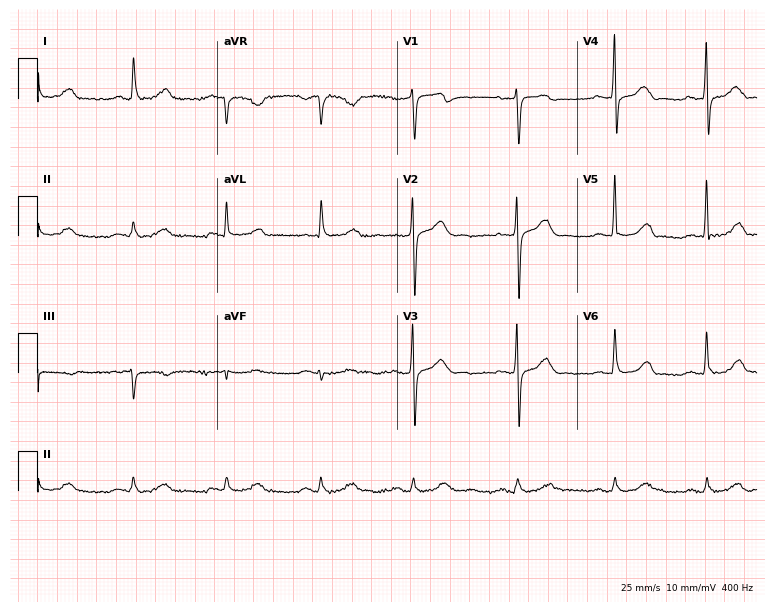
Resting 12-lead electrocardiogram. Patient: a 78-year-old male. None of these six findings is recorded: first-degree AV block, right bundle branch block, left bundle branch block, sinus bradycardia, atrial fibrillation, sinus tachycardia. Findings outside these six are not listed.